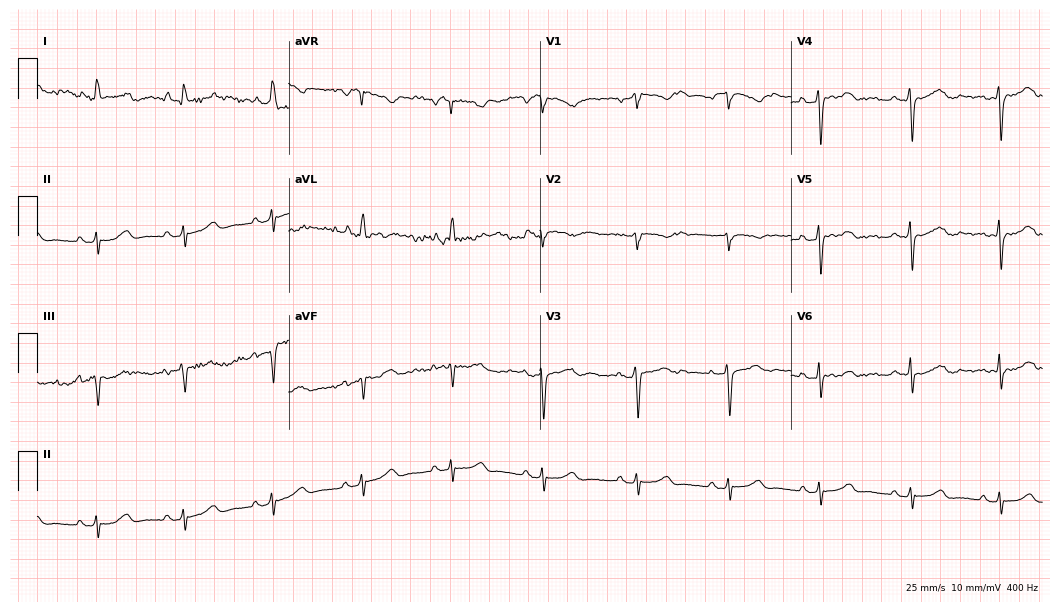
ECG — a 66-year-old female. Screened for six findings — first-degree AV block, right bundle branch block (RBBB), left bundle branch block (LBBB), sinus bradycardia, atrial fibrillation (AF), sinus tachycardia — none is recorded.